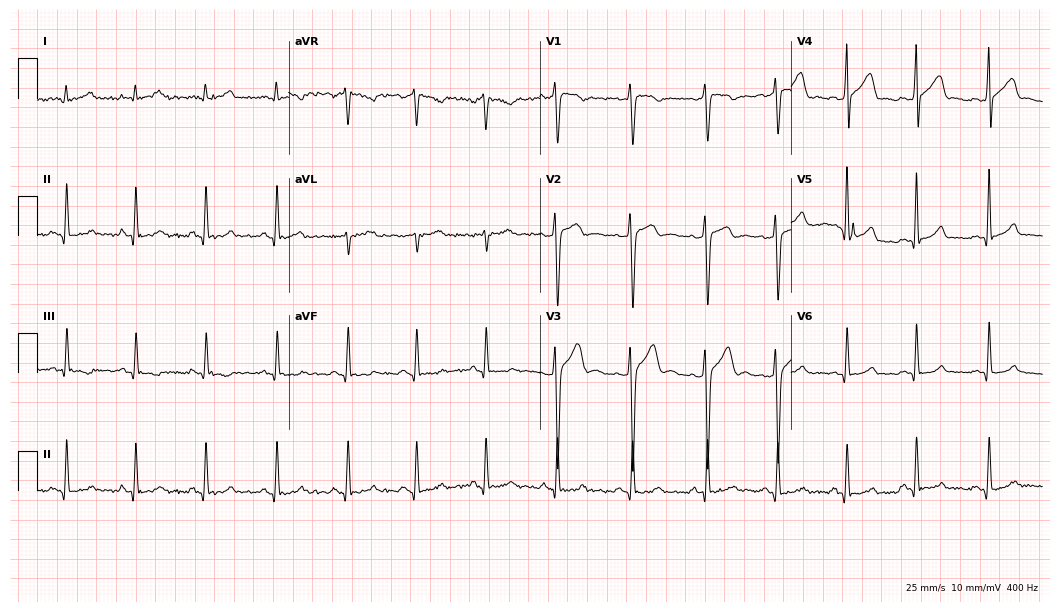
12-lead ECG from a 31-year-old male patient. Recorded interpretation: within normal limits.